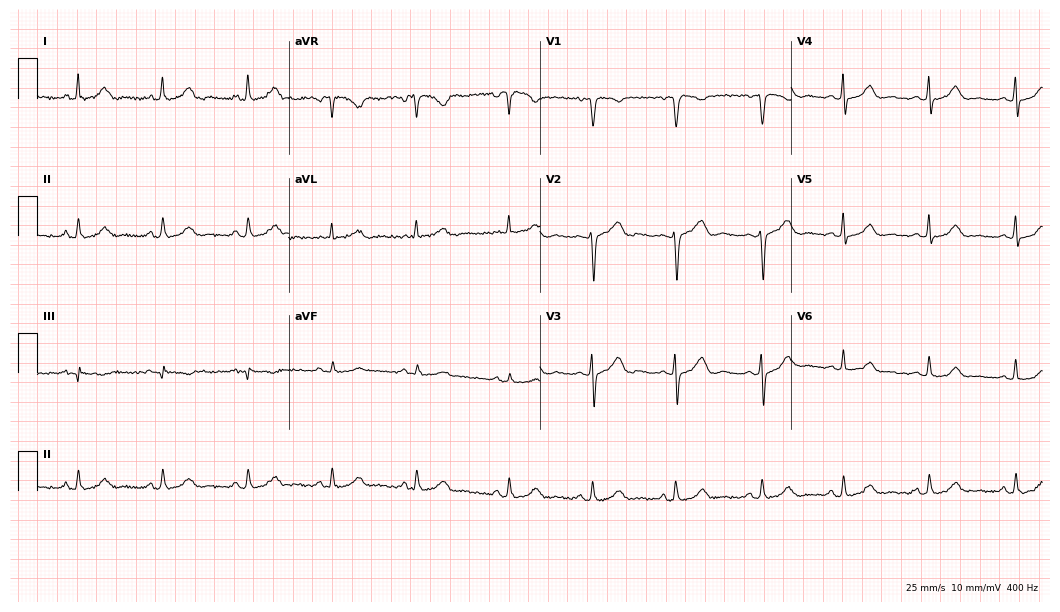
Standard 12-lead ECG recorded from a 35-year-old female patient. Read as a normal ECG.